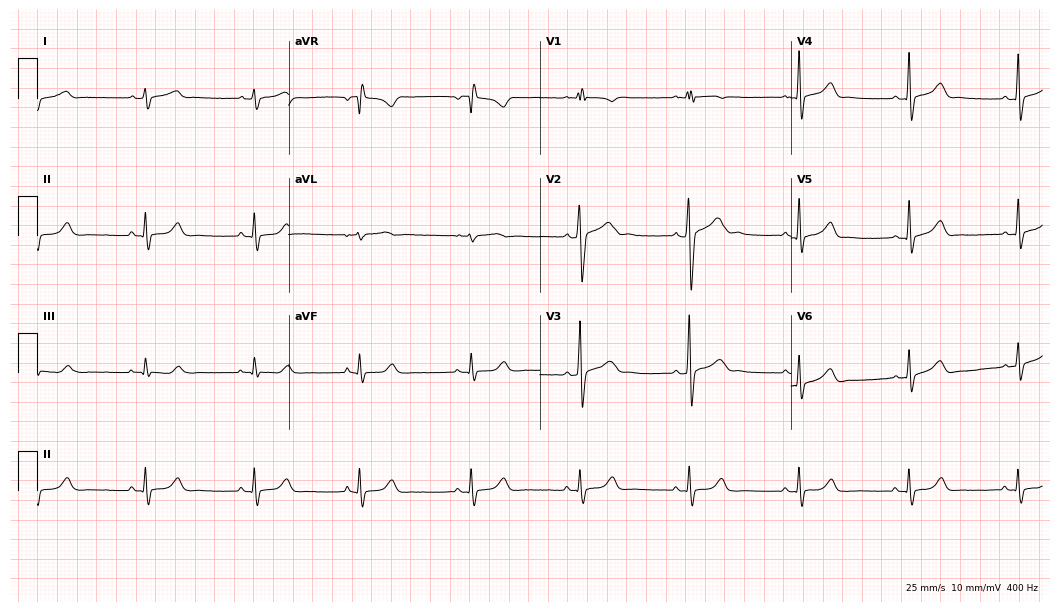
12-lead ECG from a man, 17 years old. Labelled as a normal ECG.